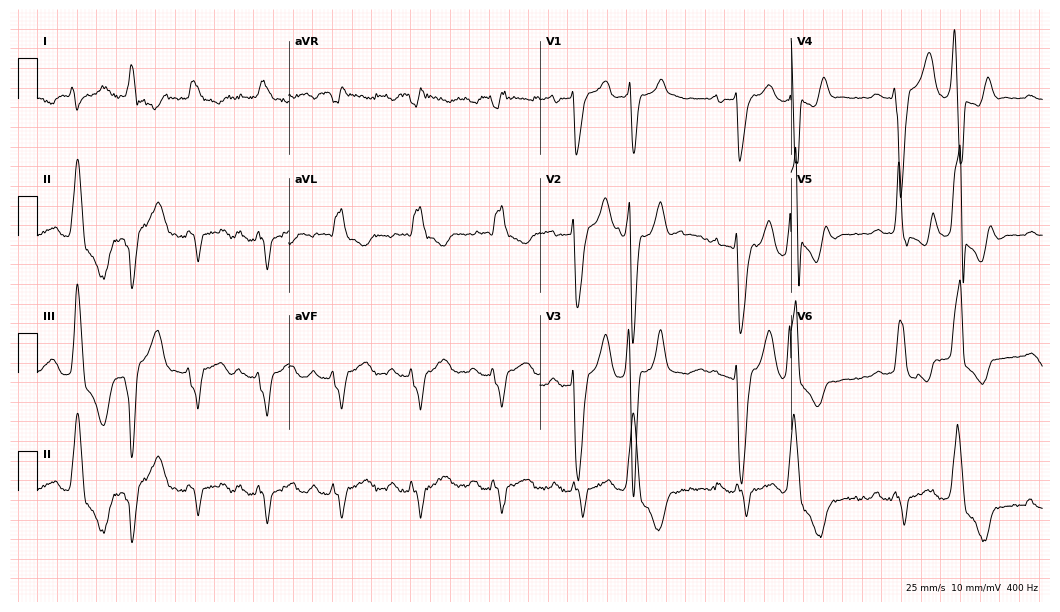
Resting 12-lead electrocardiogram. Patient: a male, 70 years old. The tracing shows first-degree AV block, left bundle branch block (LBBB).